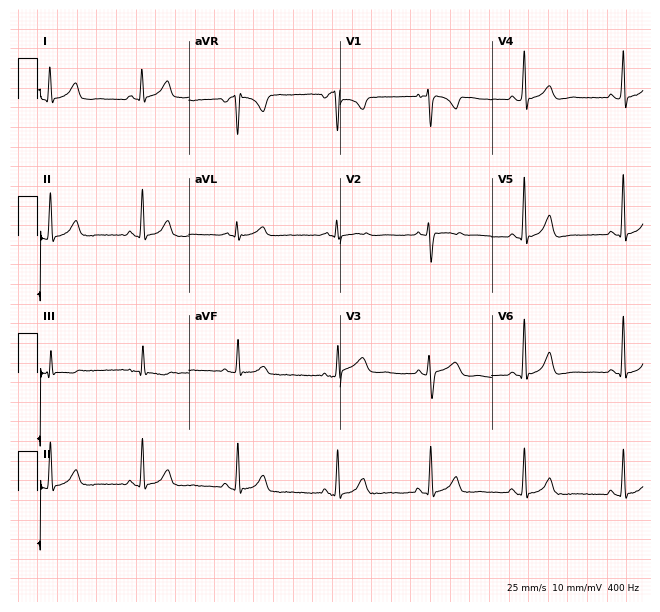
Resting 12-lead electrocardiogram (6.2-second recording at 400 Hz). Patient: a woman, 29 years old. None of these six findings is recorded: first-degree AV block, right bundle branch block, left bundle branch block, sinus bradycardia, atrial fibrillation, sinus tachycardia.